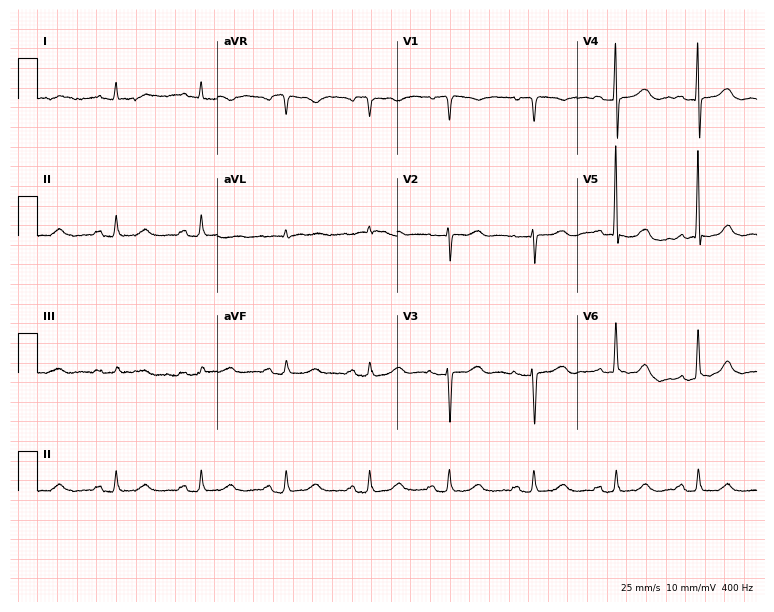
Resting 12-lead electrocardiogram. Patient: a 77-year-old female. Read as a normal ECG.